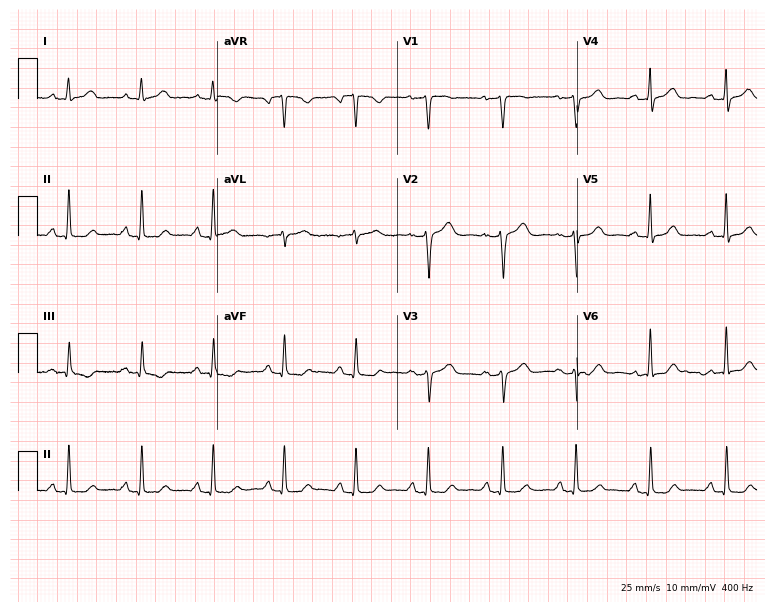
12-lead ECG from a 52-year-old female. Recorded interpretation: within normal limits.